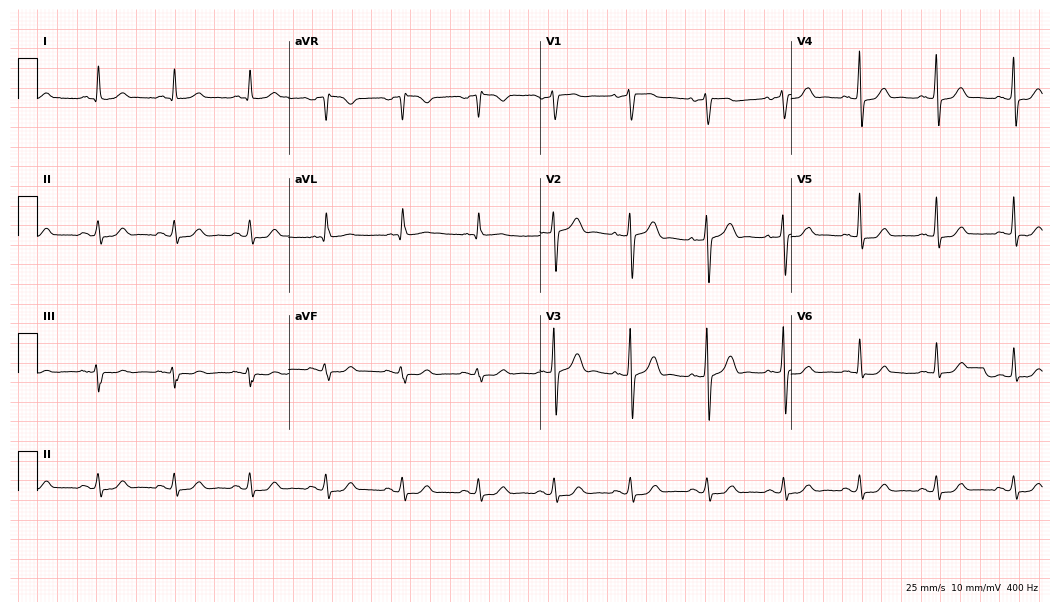
Electrocardiogram, a 65-year-old male patient. Overall reading on record: normal ECG.